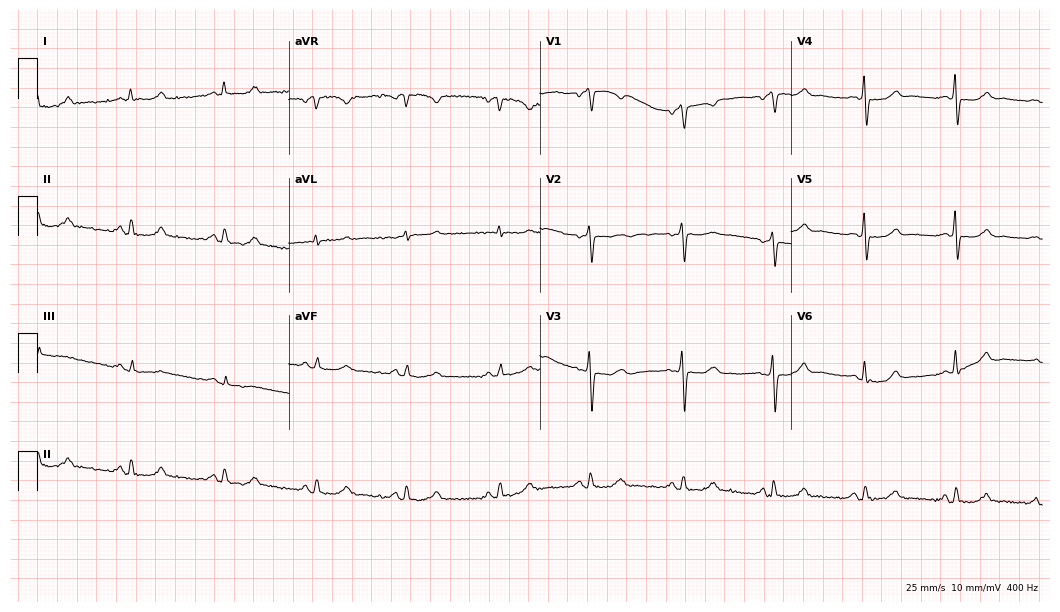
ECG (10.2-second recording at 400 Hz) — a 47-year-old female patient. Labelled as a normal ECG.